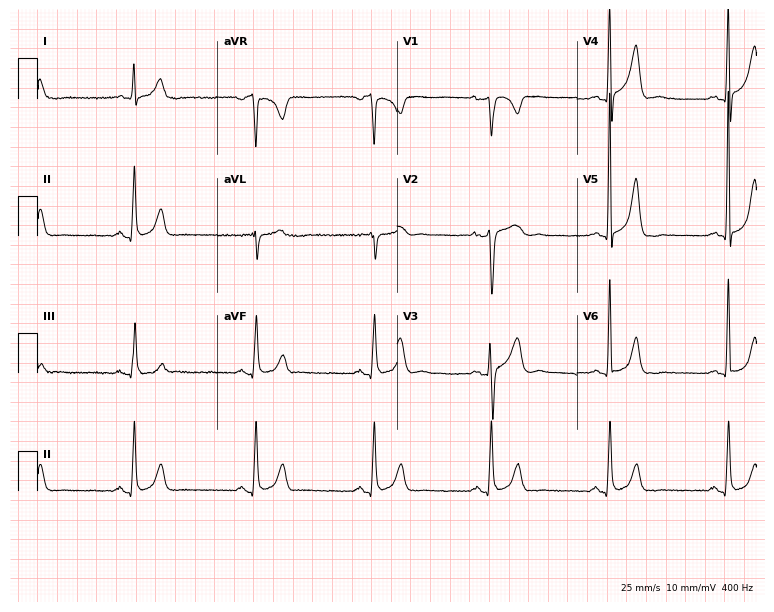
12-lead ECG (7.3-second recording at 400 Hz) from a 58-year-old male. Screened for six findings — first-degree AV block, right bundle branch block (RBBB), left bundle branch block (LBBB), sinus bradycardia, atrial fibrillation (AF), sinus tachycardia — none is recorded.